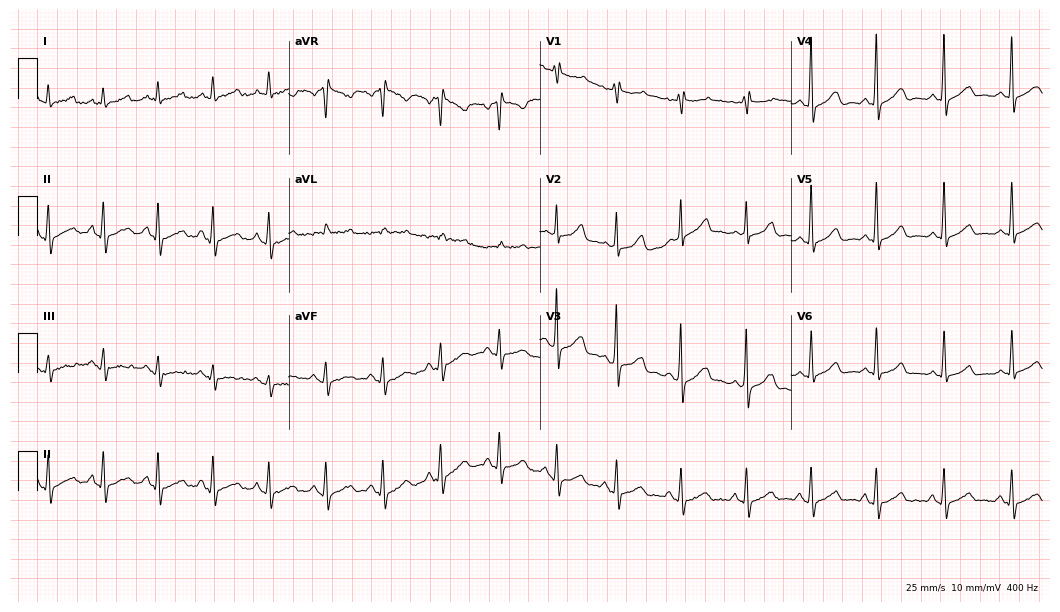
Standard 12-lead ECG recorded from a woman, 45 years old. None of these six findings is recorded: first-degree AV block, right bundle branch block (RBBB), left bundle branch block (LBBB), sinus bradycardia, atrial fibrillation (AF), sinus tachycardia.